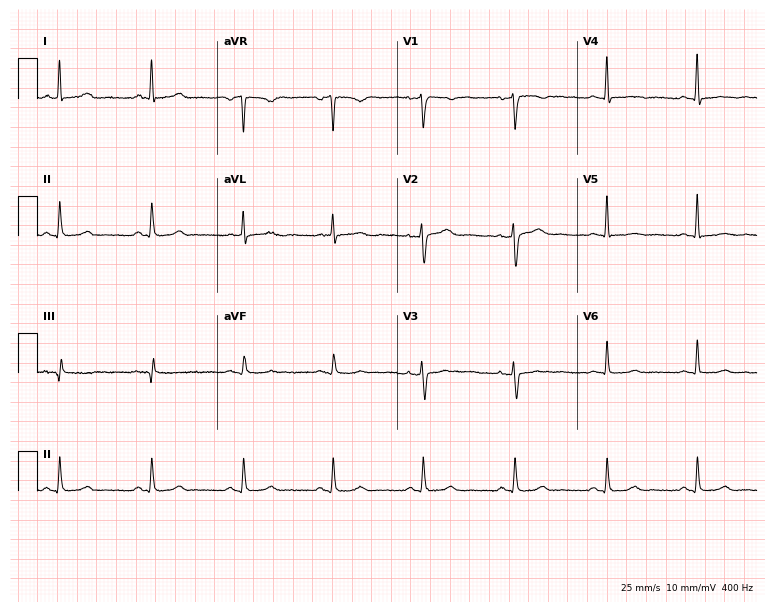
Resting 12-lead electrocardiogram (7.3-second recording at 400 Hz). Patient: a female, 56 years old. None of these six findings is recorded: first-degree AV block, right bundle branch block, left bundle branch block, sinus bradycardia, atrial fibrillation, sinus tachycardia. Only these six findings were labelled.